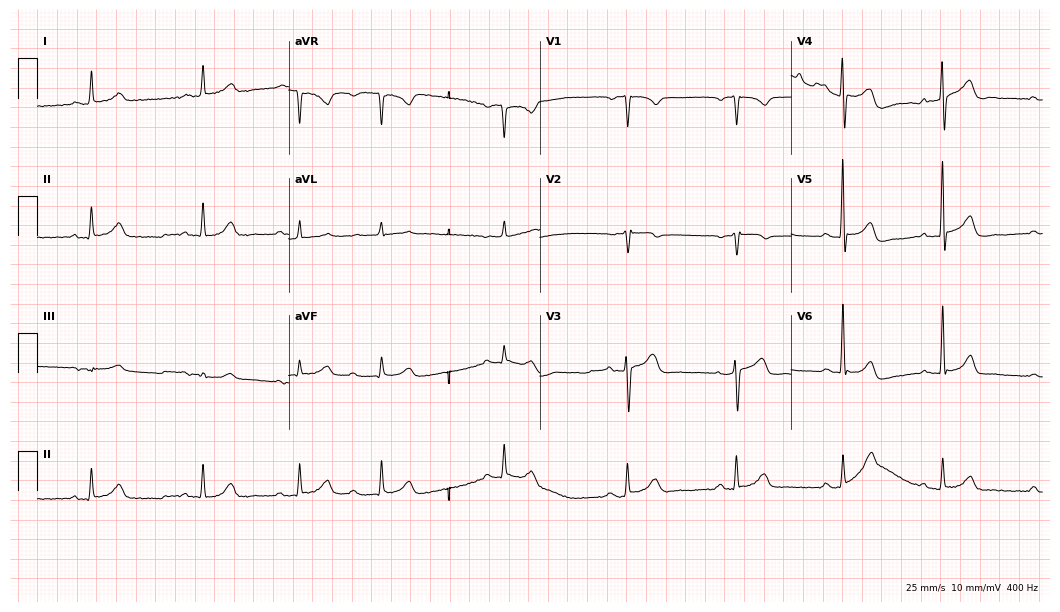
ECG (10.2-second recording at 400 Hz) — a 68-year-old male. Screened for six findings — first-degree AV block, right bundle branch block (RBBB), left bundle branch block (LBBB), sinus bradycardia, atrial fibrillation (AF), sinus tachycardia — none is recorded.